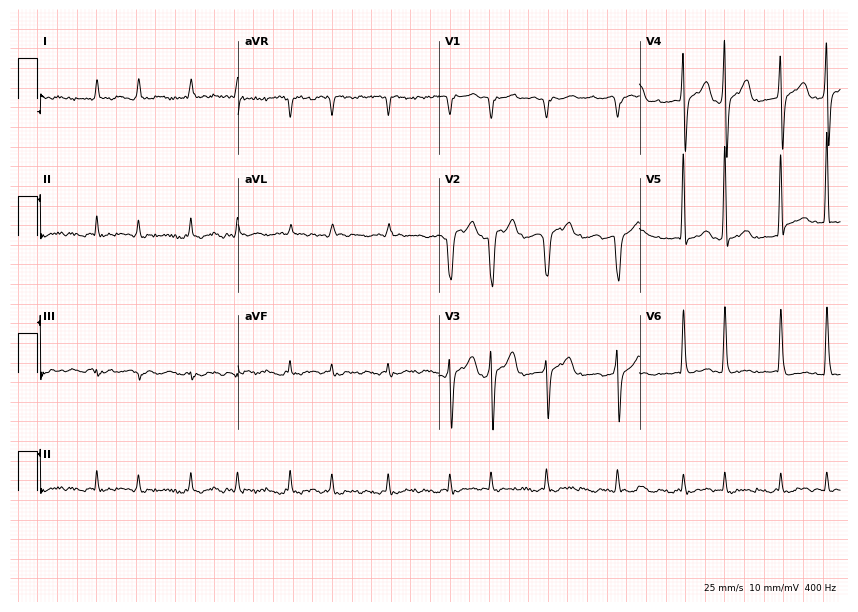
Resting 12-lead electrocardiogram (8.2-second recording at 400 Hz). Patient: a male, 83 years old. The tracing shows atrial fibrillation (AF).